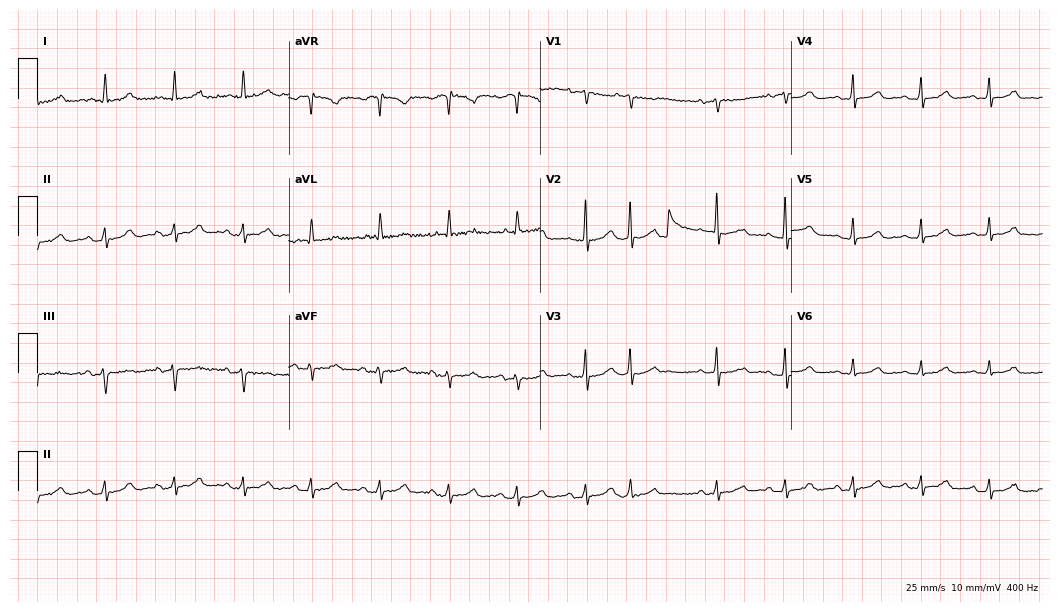
ECG (10.2-second recording at 400 Hz) — a female, 66 years old. Screened for six findings — first-degree AV block, right bundle branch block, left bundle branch block, sinus bradycardia, atrial fibrillation, sinus tachycardia — none is recorded. Only these six findings were labelled.